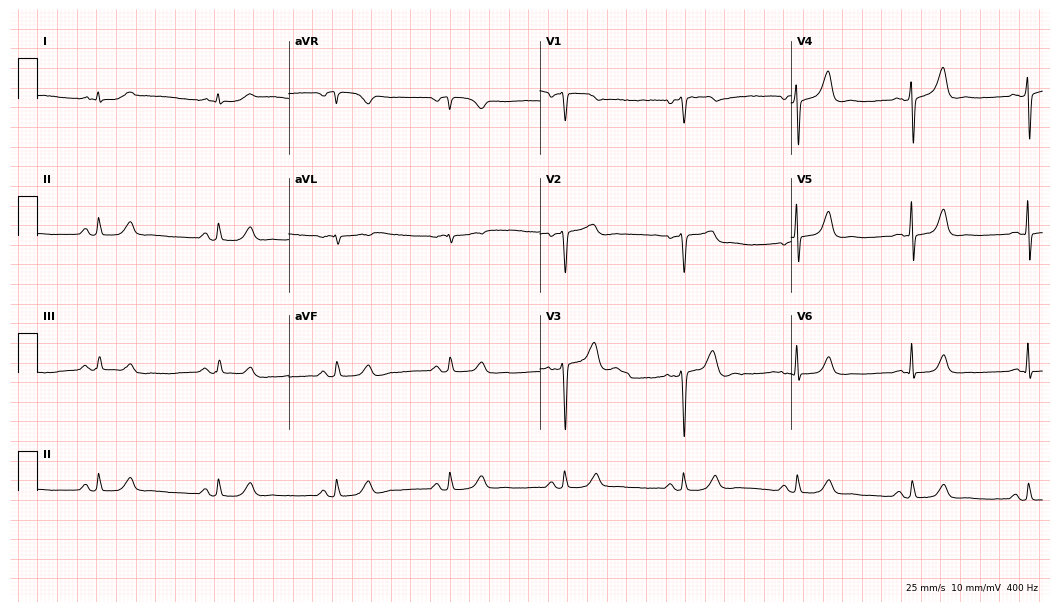
Resting 12-lead electrocardiogram (10.2-second recording at 400 Hz). Patient: a male, 75 years old. The tracing shows sinus bradycardia (a sinus rate of 50 beats per minute or less).